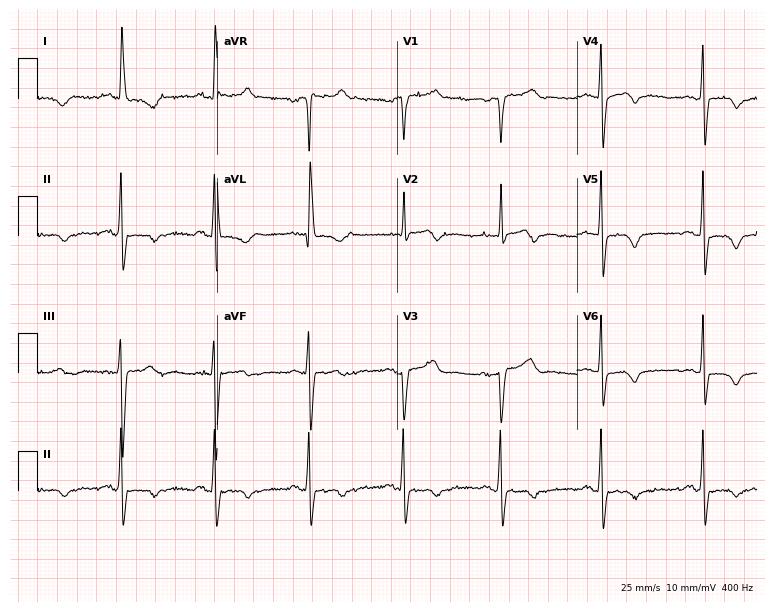
Electrocardiogram, a 69-year-old woman. Of the six screened findings (first-degree AV block, right bundle branch block, left bundle branch block, sinus bradycardia, atrial fibrillation, sinus tachycardia), none is recorded.